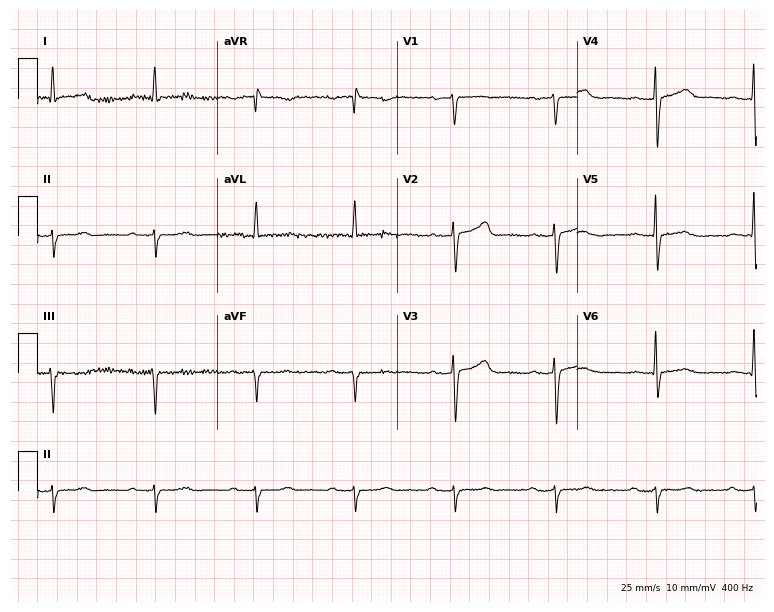
Standard 12-lead ECG recorded from a female, 76 years old (7.3-second recording at 400 Hz). The tracing shows first-degree AV block.